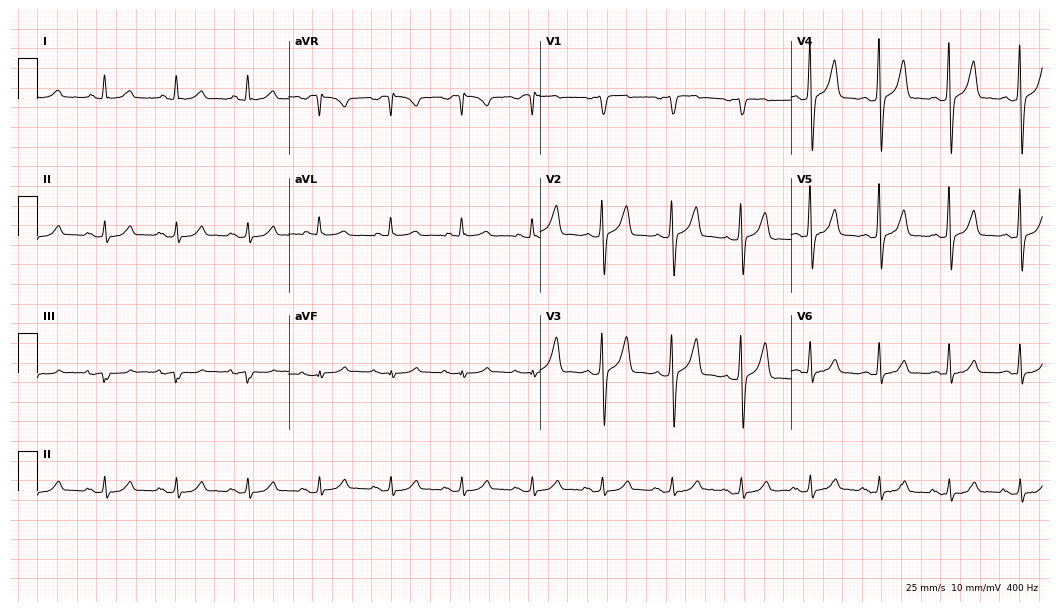
Resting 12-lead electrocardiogram. Patient: a 58-year-old male. Read as a normal ECG.